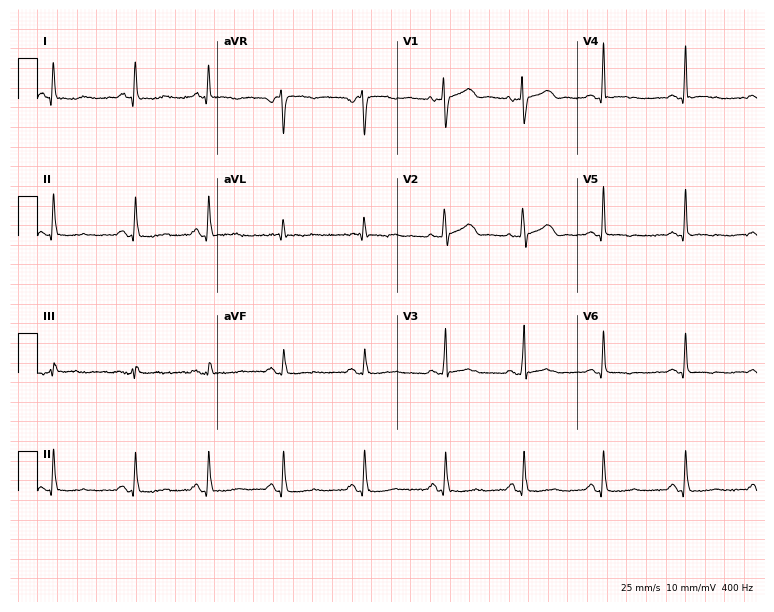
Standard 12-lead ECG recorded from a female patient, 68 years old. None of these six findings is recorded: first-degree AV block, right bundle branch block, left bundle branch block, sinus bradycardia, atrial fibrillation, sinus tachycardia.